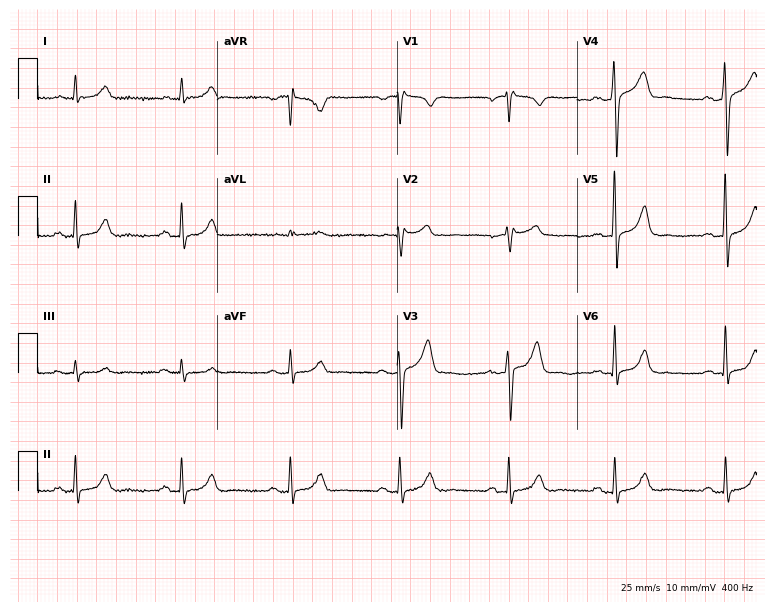
Resting 12-lead electrocardiogram. Patient: a male, 65 years old. None of these six findings is recorded: first-degree AV block, right bundle branch block, left bundle branch block, sinus bradycardia, atrial fibrillation, sinus tachycardia.